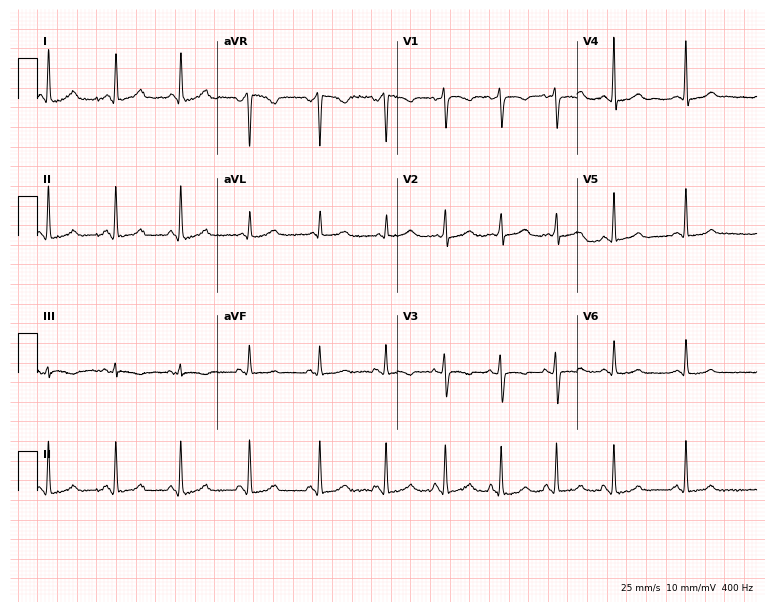
Standard 12-lead ECG recorded from a 26-year-old female (7.3-second recording at 400 Hz). Read as a normal ECG.